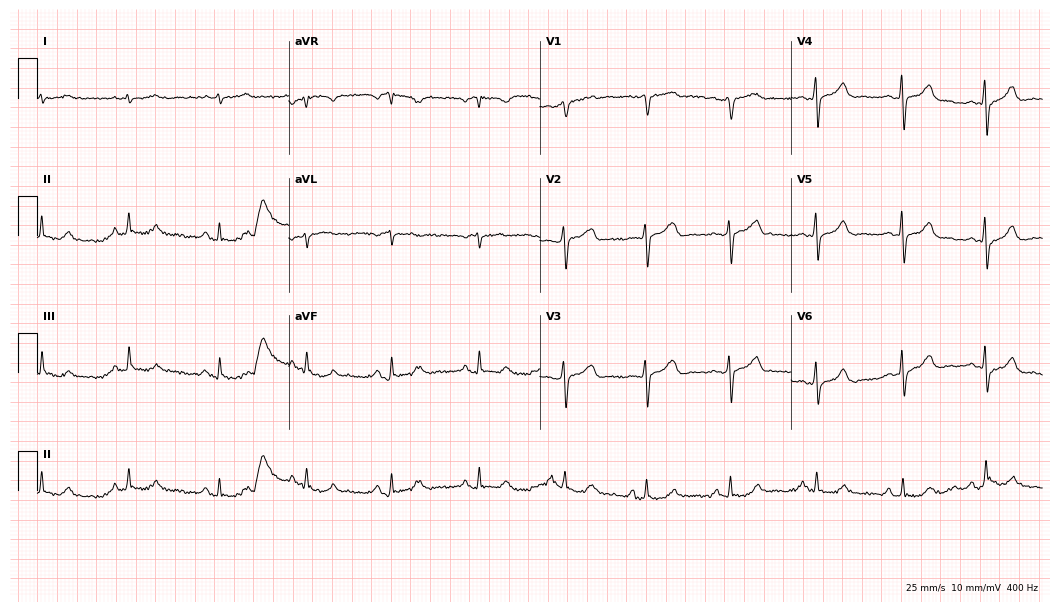
Electrocardiogram (10.2-second recording at 400 Hz), a 65-year-old male. Overall reading on record: normal ECG.